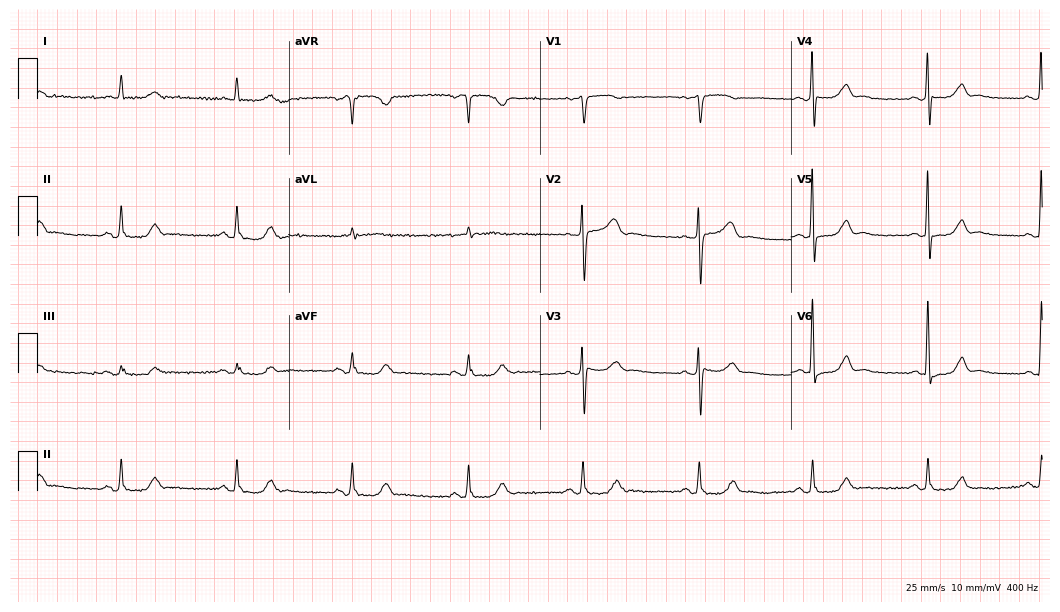
12-lead ECG (10.2-second recording at 400 Hz) from a female patient, 74 years old. Labelled as a normal ECG.